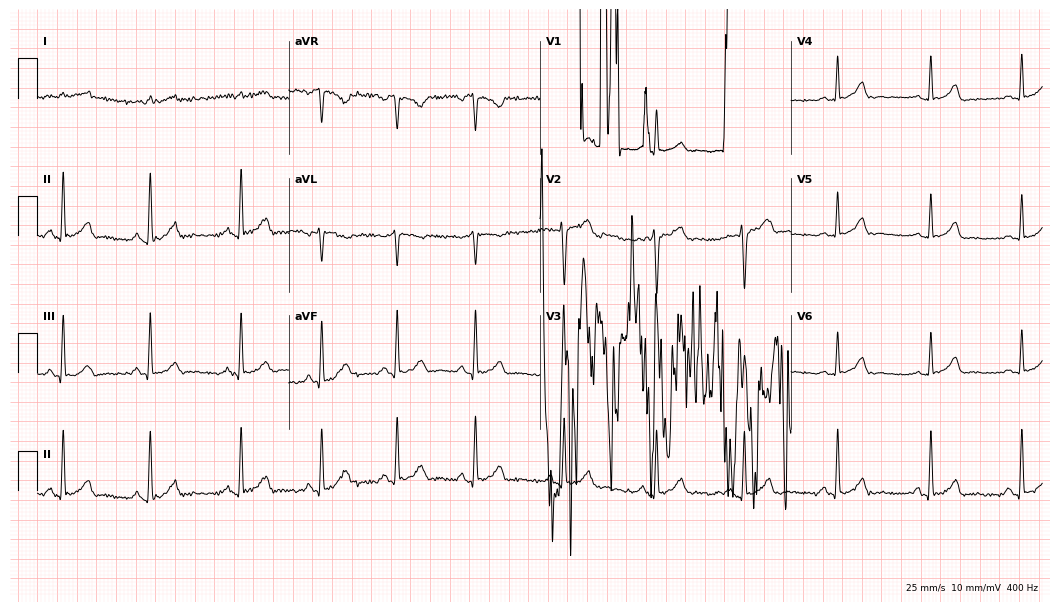
12-lead ECG from a 35-year-old male patient. Screened for six findings — first-degree AV block, right bundle branch block, left bundle branch block, sinus bradycardia, atrial fibrillation, sinus tachycardia — none is recorded.